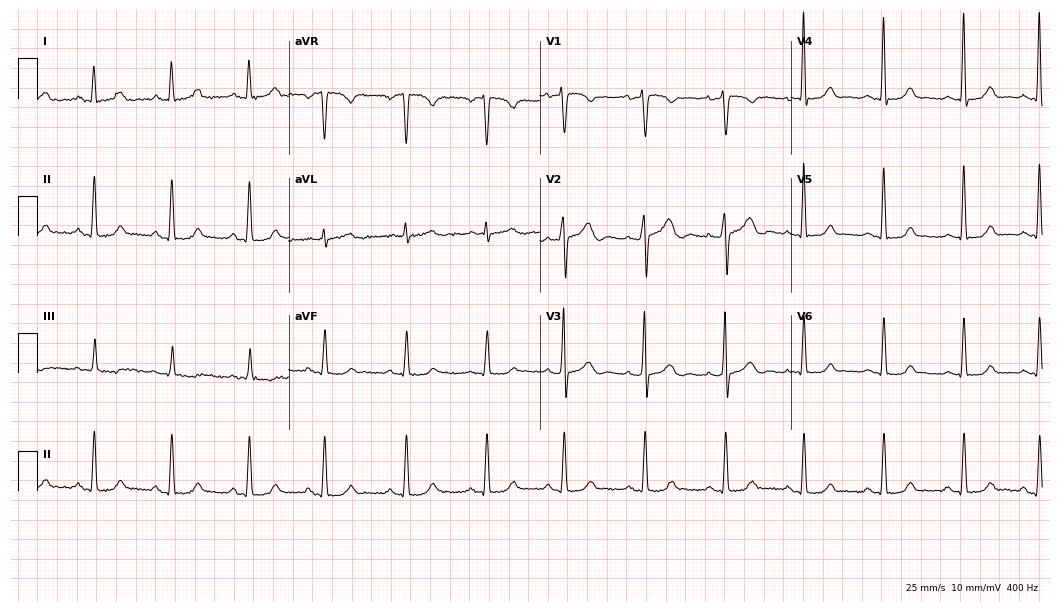
Resting 12-lead electrocardiogram. Patient: a 35-year-old female. None of these six findings is recorded: first-degree AV block, right bundle branch block, left bundle branch block, sinus bradycardia, atrial fibrillation, sinus tachycardia.